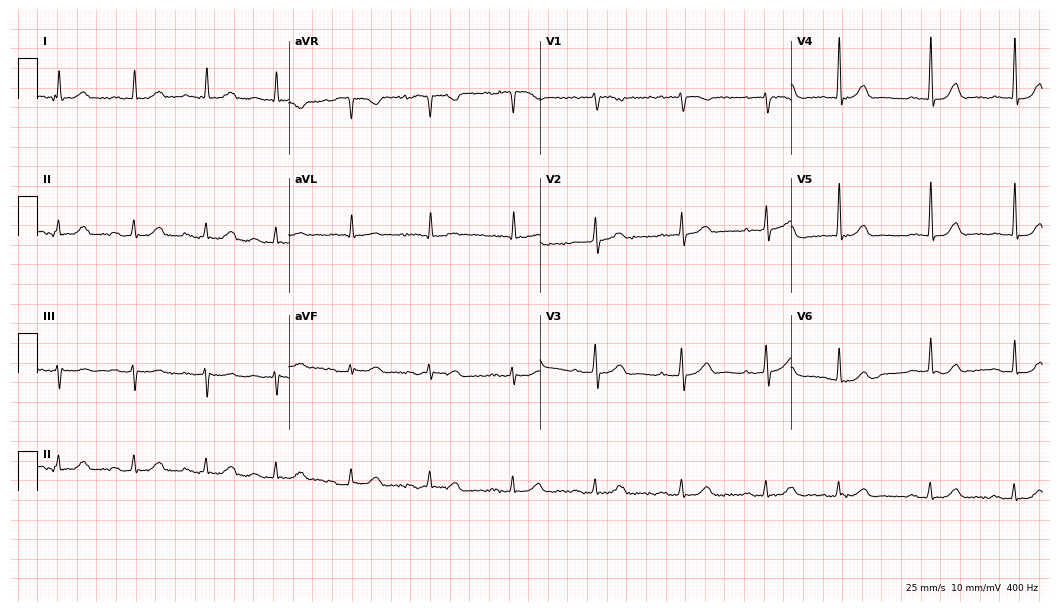
12-lead ECG (10.2-second recording at 400 Hz) from an 84-year-old woman. Labelled as a normal ECG.